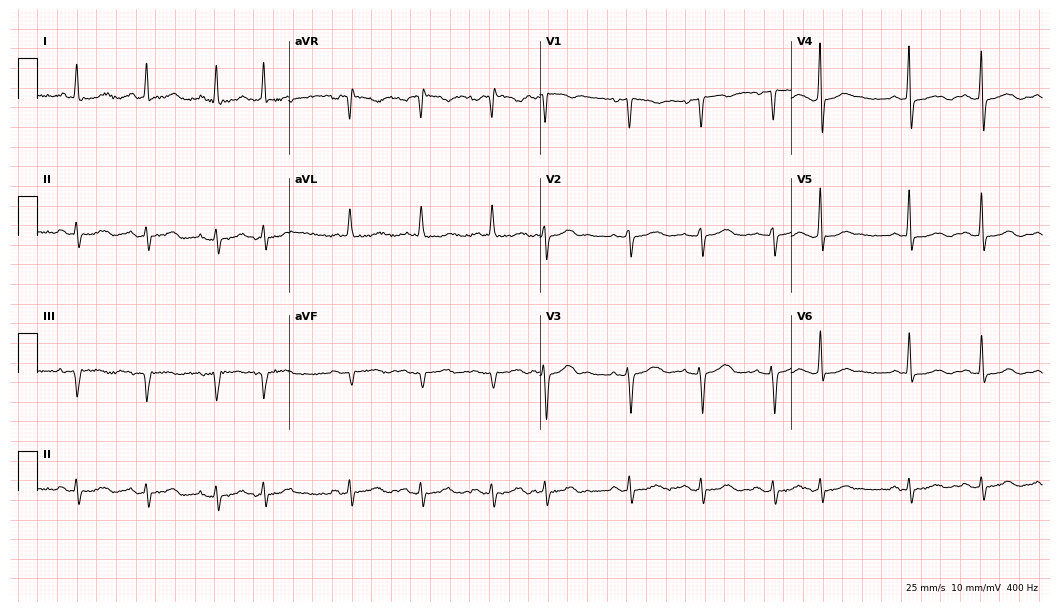
12-lead ECG (10.2-second recording at 400 Hz) from a woman, 82 years old. Screened for six findings — first-degree AV block, right bundle branch block, left bundle branch block, sinus bradycardia, atrial fibrillation, sinus tachycardia — none is recorded. Findings outside these six are not listed.